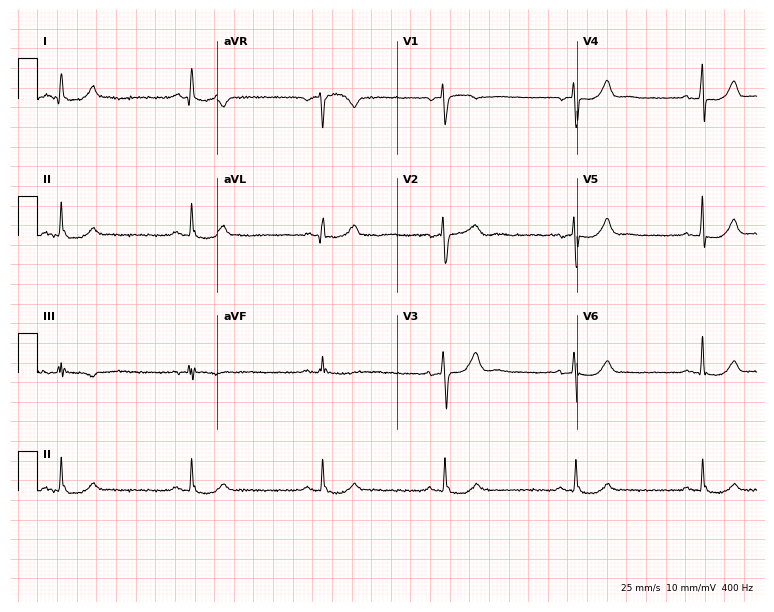
ECG — a 66-year-old female. Findings include sinus bradycardia (a sinus rate of 50 beats per minute or less).